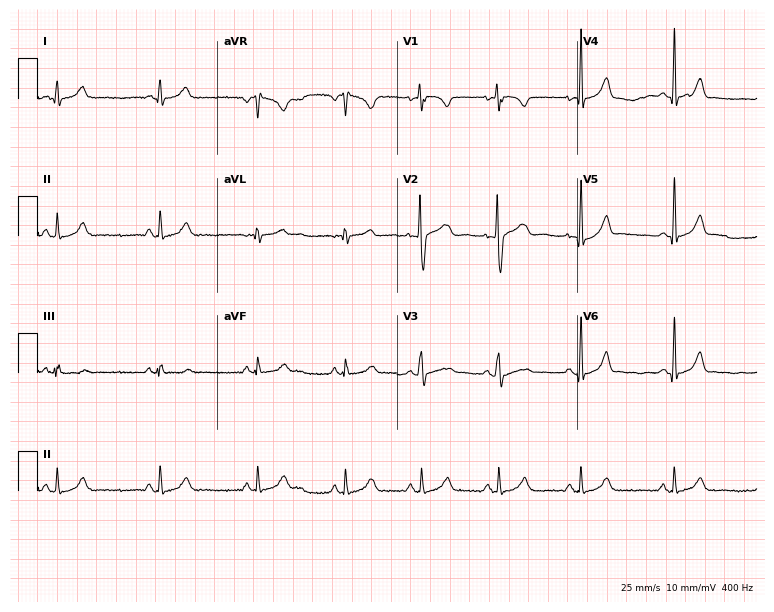
Electrocardiogram, a 21-year-old woman. Overall reading on record: normal ECG.